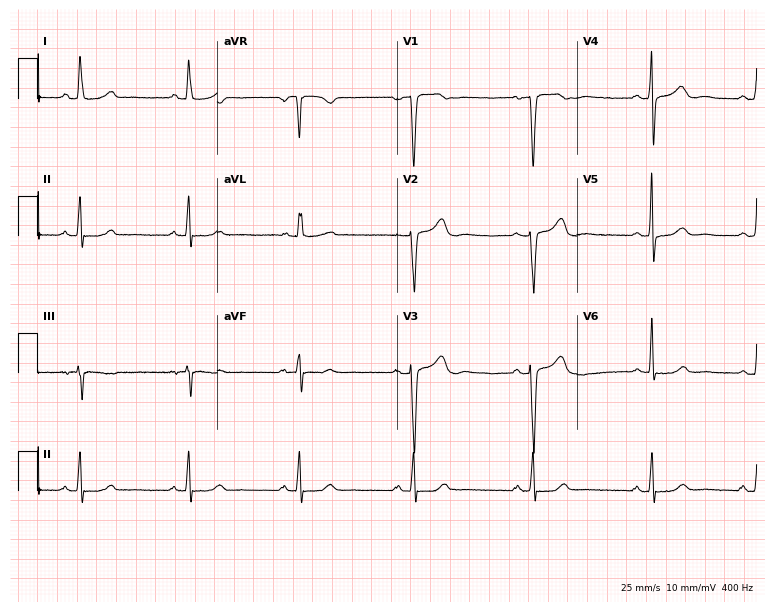
12-lead ECG from a female, 46 years old. Recorded interpretation: within normal limits.